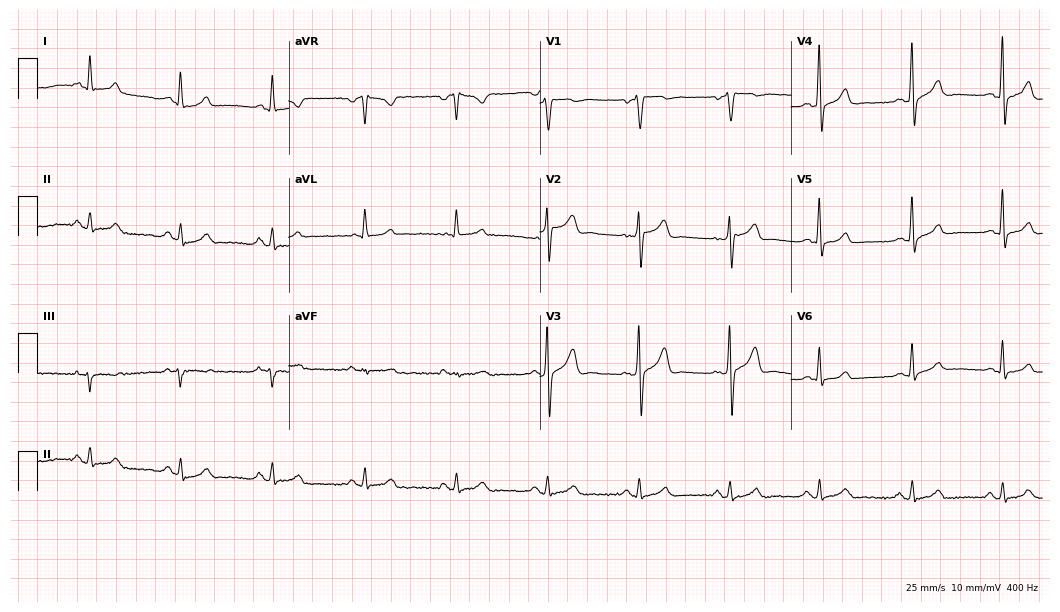
12-lead ECG from a male, 48 years old (10.2-second recording at 400 Hz). Recorded interpretation: within normal limits.